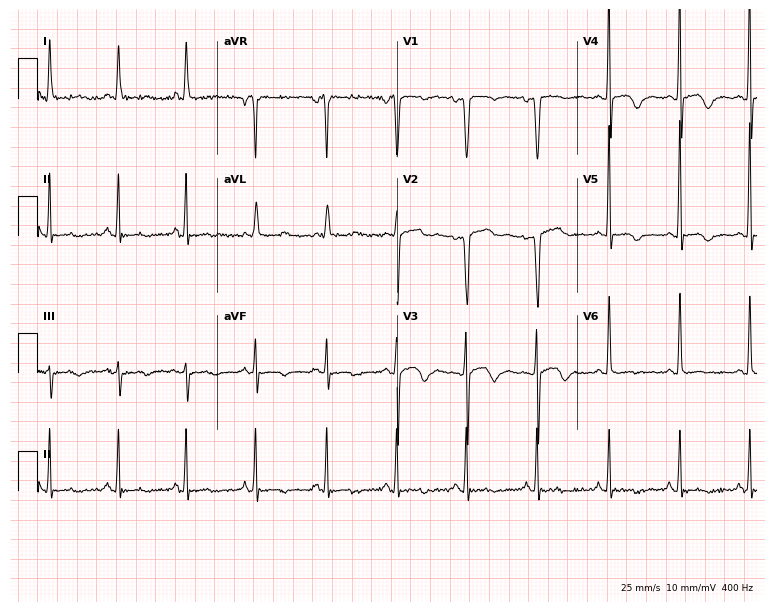
Resting 12-lead electrocardiogram (7.3-second recording at 400 Hz). Patient: a female, 65 years old. None of these six findings is recorded: first-degree AV block, right bundle branch block (RBBB), left bundle branch block (LBBB), sinus bradycardia, atrial fibrillation (AF), sinus tachycardia. Findings outside these six are not listed.